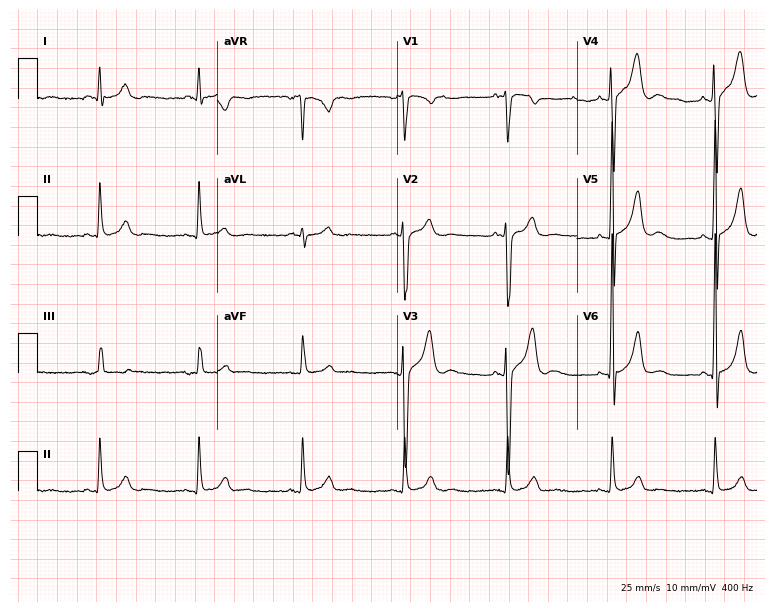
Standard 12-lead ECG recorded from a male patient, 41 years old (7.3-second recording at 400 Hz). Read as a normal ECG.